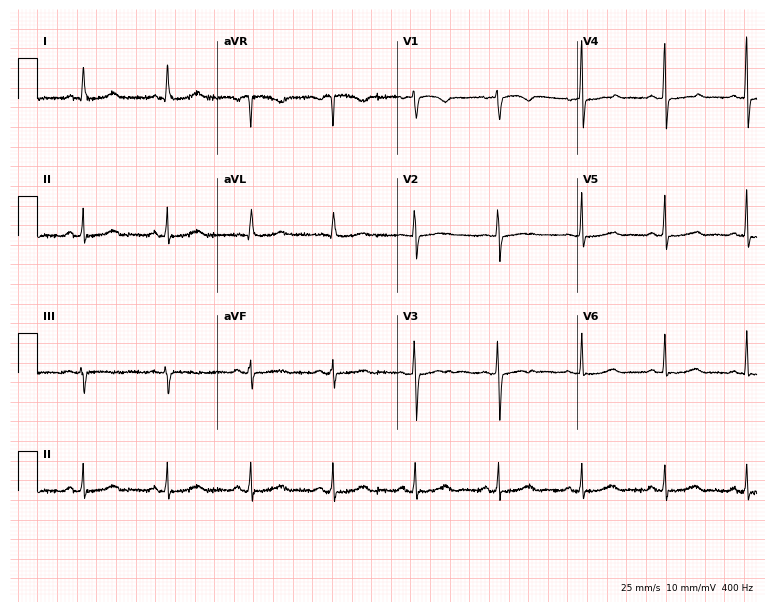
Electrocardiogram (7.3-second recording at 400 Hz), a 64-year-old female. Of the six screened findings (first-degree AV block, right bundle branch block (RBBB), left bundle branch block (LBBB), sinus bradycardia, atrial fibrillation (AF), sinus tachycardia), none is recorded. Findings outside these six are not listed.